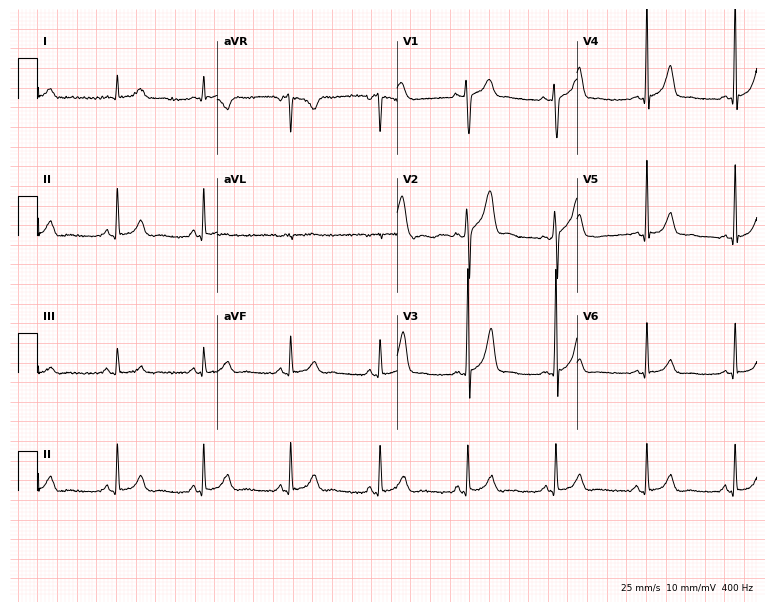
ECG — a 27-year-old male. Labelled as a normal ECG.